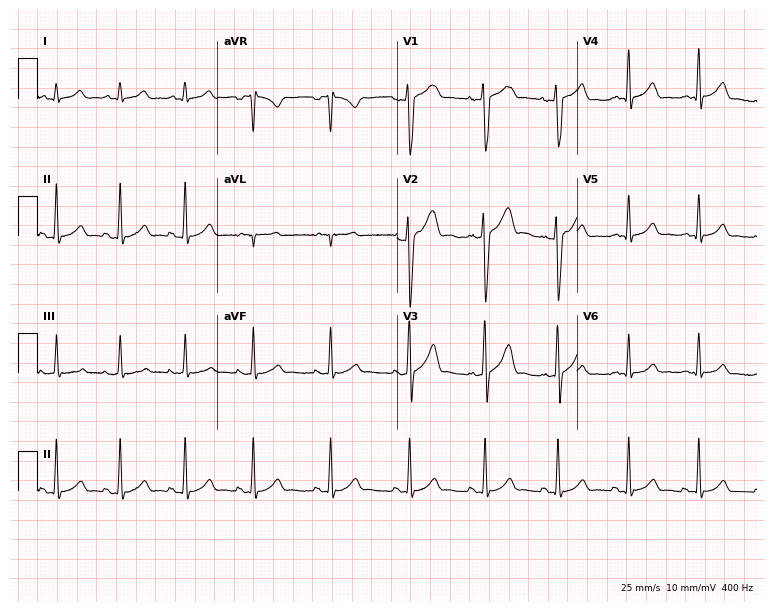
12-lead ECG from a 20-year-old man. Labelled as a normal ECG.